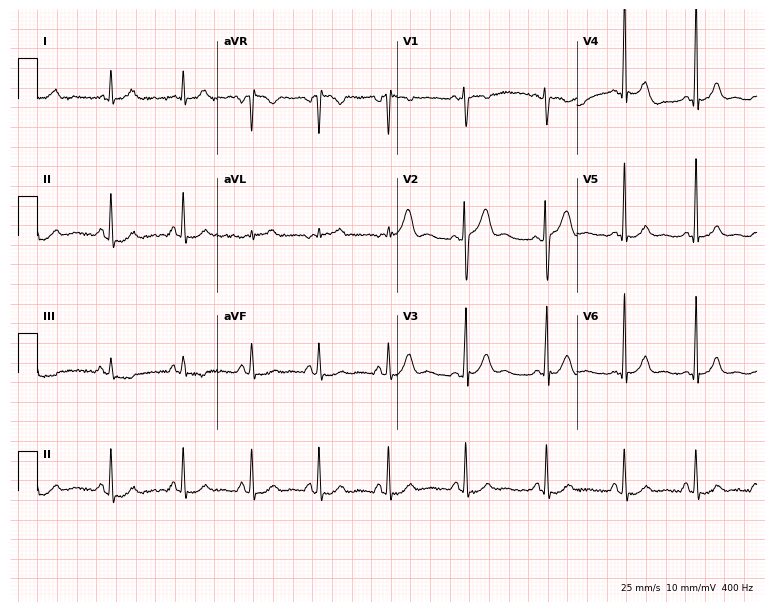
12-lead ECG from a man, 32 years old (7.3-second recording at 400 Hz). No first-degree AV block, right bundle branch block, left bundle branch block, sinus bradycardia, atrial fibrillation or sinus tachycardia recorded for this tracing.